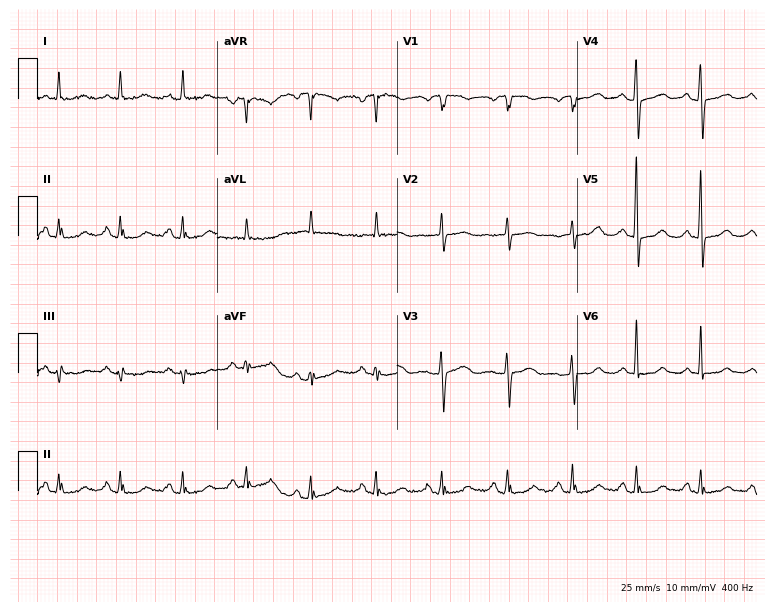
12-lead ECG (7.3-second recording at 400 Hz) from a female, 84 years old. Labelled as a normal ECG.